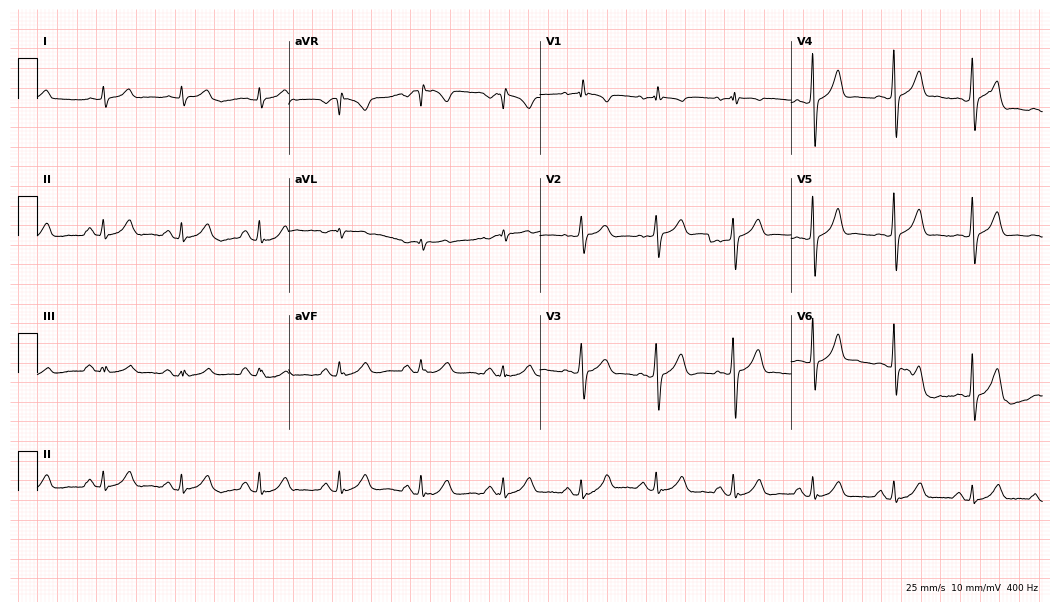
12-lead ECG from a 63-year-old man. Recorded interpretation: within normal limits.